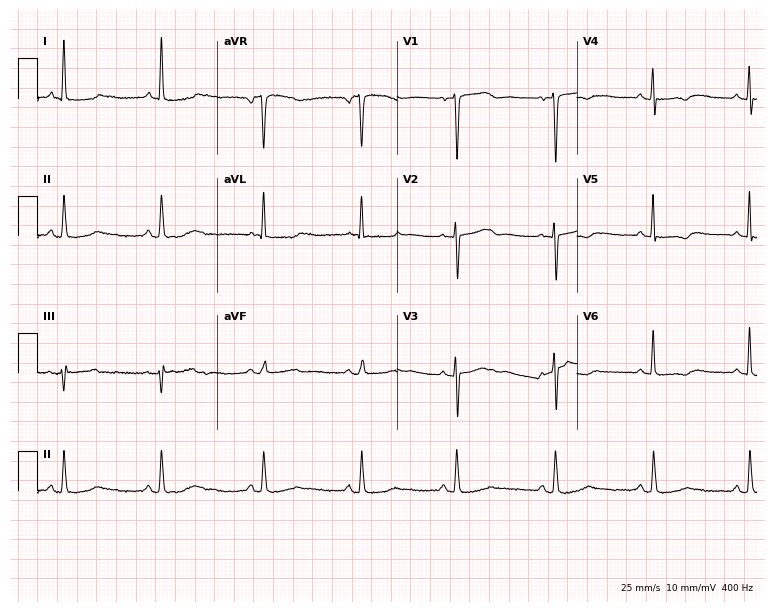
12-lead ECG from a woman, 62 years old. Screened for six findings — first-degree AV block, right bundle branch block, left bundle branch block, sinus bradycardia, atrial fibrillation, sinus tachycardia — none is recorded. Other findings, if any, are not listed.